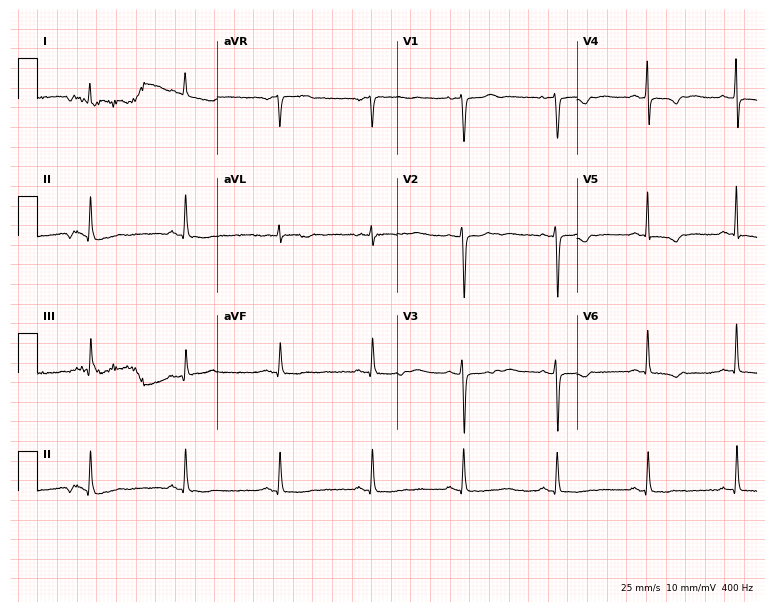
12-lead ECG from an 85-year-old female patient. No first-degree AV block, right bundle branch block (RBBB), left bundle branch block (LBBB), sinus bradycardia, atrial fibrillation (AF) or sinus tachycardia recorded for this tracing. Only these six findings were labelled.